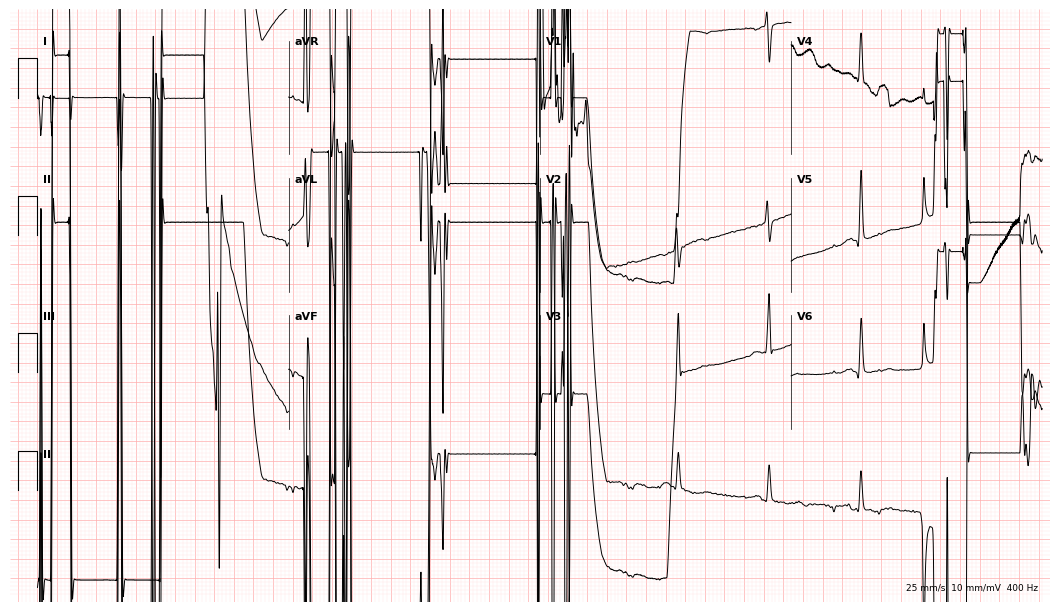
Electrocardiogram (10.2-second recording at 400 Hz), a woman, 61 years old. Of the six screened findings (first-degree AV block, right bundle branch block, left bundle branch block, sinus bradycardia, atrial fibrillation, sinus tachycardia), none is recorded. Findings outside these six are not listed.